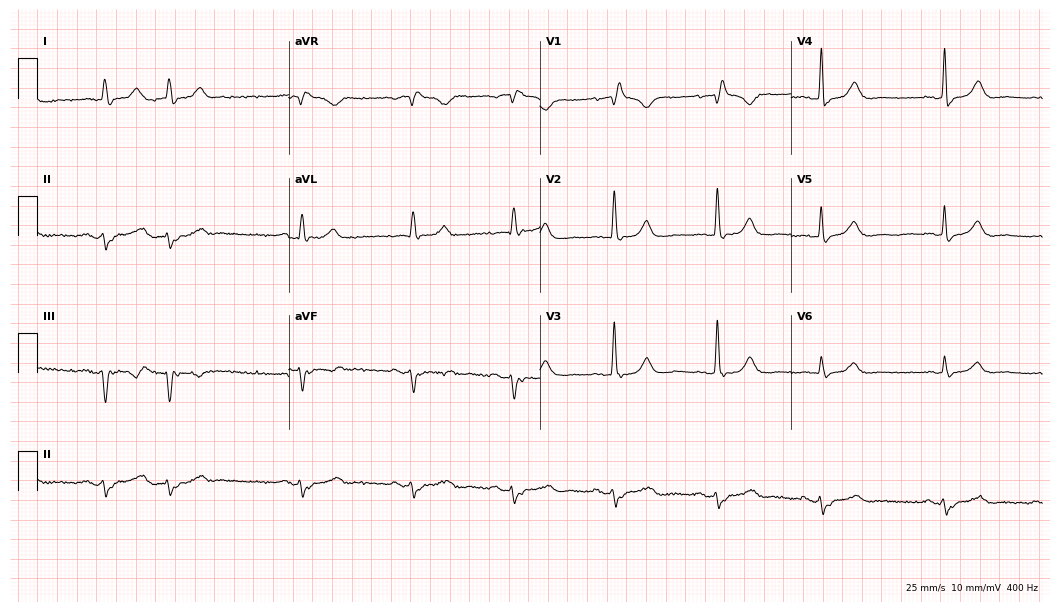
Standard 12-lead ECG recorded from a woman, 83 years old. The tracing shows right bundle branch block.